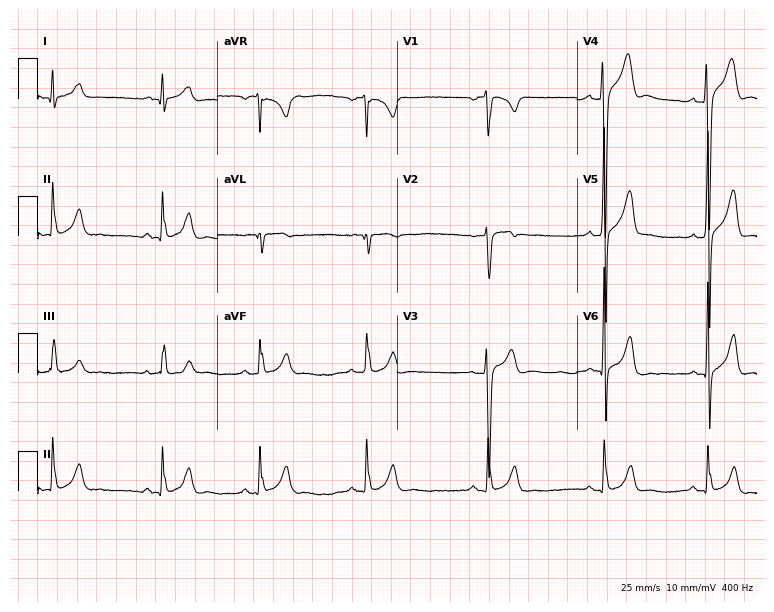
12-lead ECG from an 18-year-old male (7.3-second recording at 400 Hz). Recorded interpretation: within normal limits.